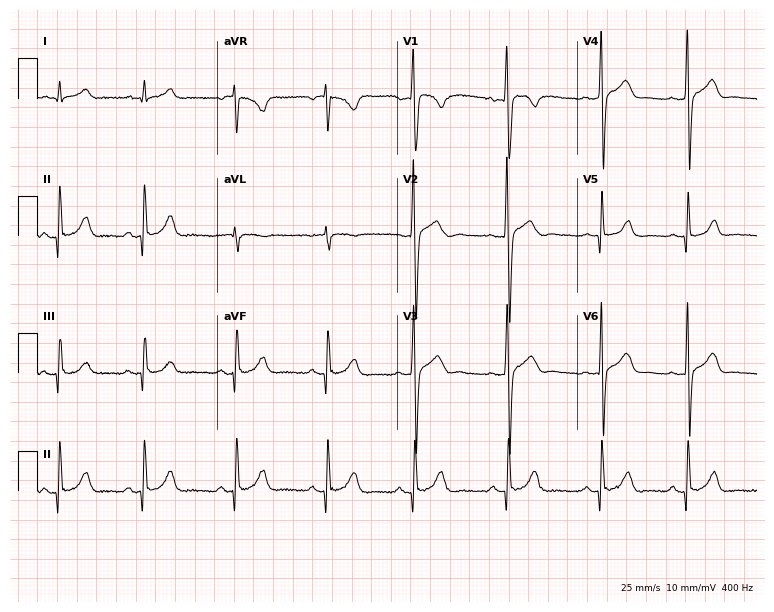
12-lead ECG (7.3-second recording at 400 Hz) from a 30-year-old man. Screened for six findings — first-degree AV block, right bundle branch block (RBBB), left bundle branch block (LBBB), sinus bradycardia, atrial fibrillation (AF), sinus tachycardia — none is recorded.